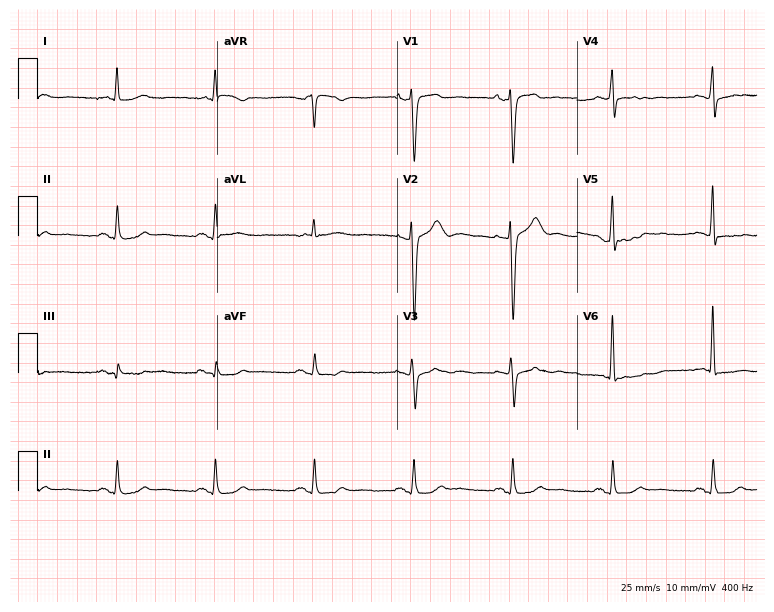
ECG — an 81-year-old man. Labelled as a normal ECG.